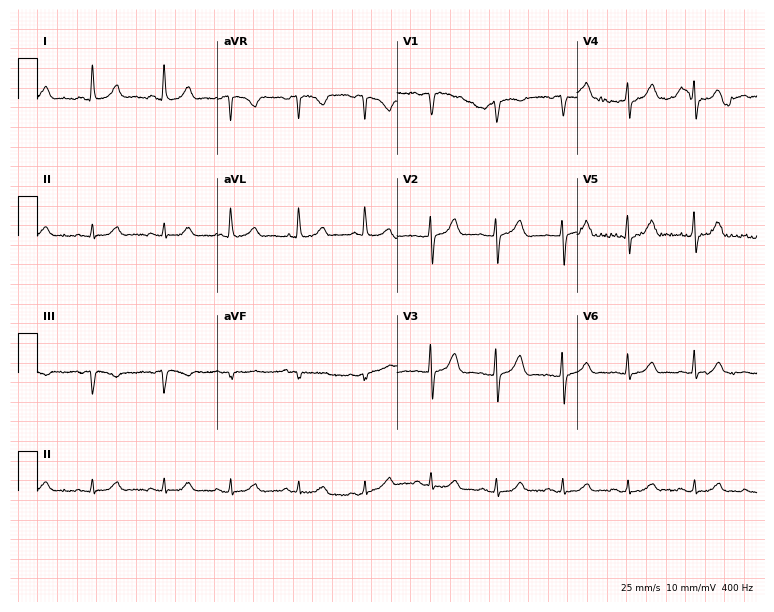
ECG — a 77-year-old female patient. Labelled as a normal ECG.